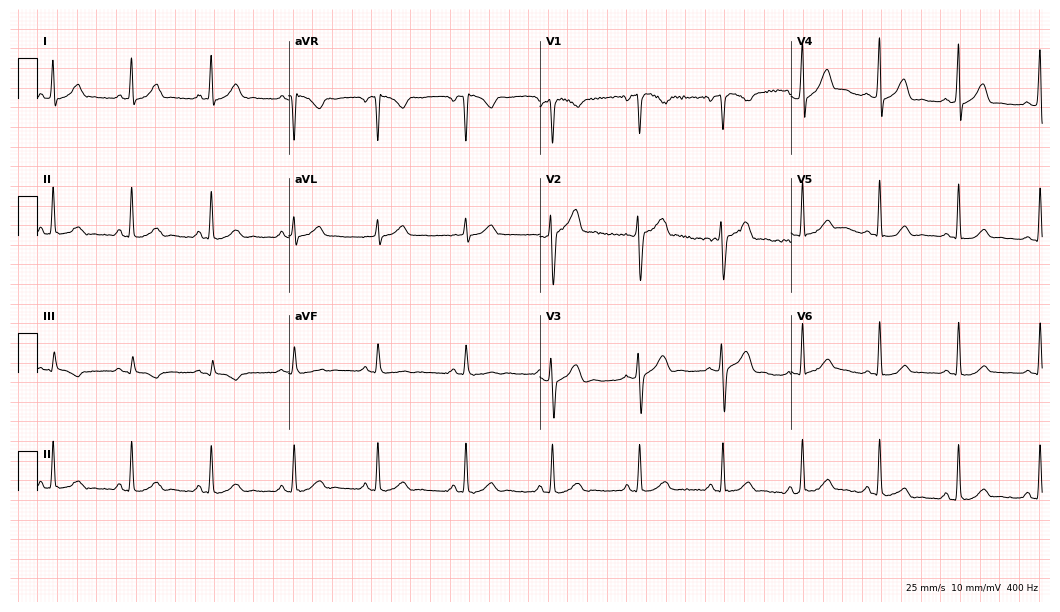
Standard 12-lead ECG recorded from a male patient, 39 years old (10.2-second recording at 400 Hz). Read as a normal ECG.